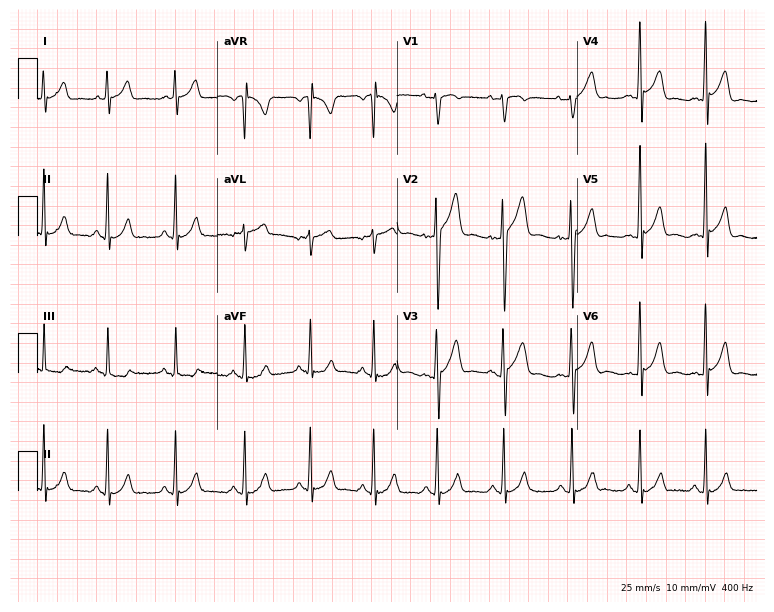
ECG — a 23-year-old male patient. Labelled as a normal ECG.